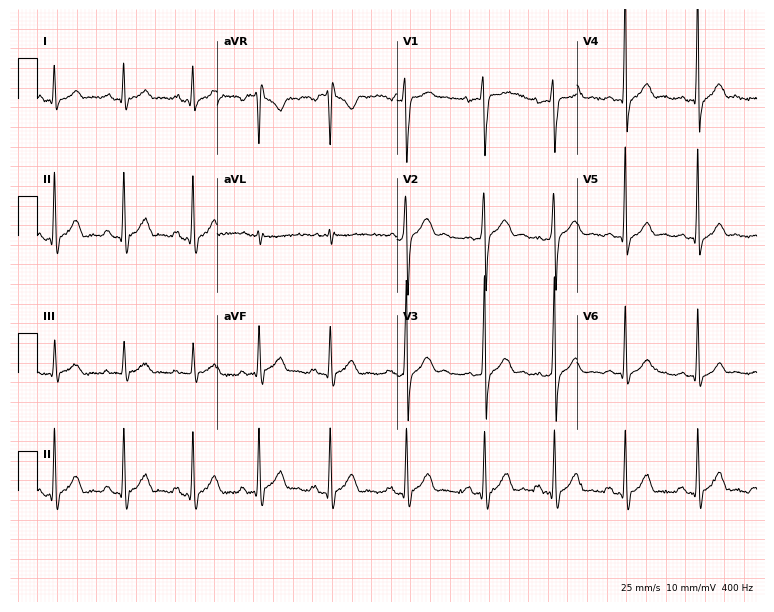
12-lead ECG from a male patient, 18 years old. No first-degree AV block, right bundle branch block (RBBB), left bundle branch block (LBBB), sinus bradycardia, atrial fibrillation (AF) or sinus tachycardia recorded for this tracing.